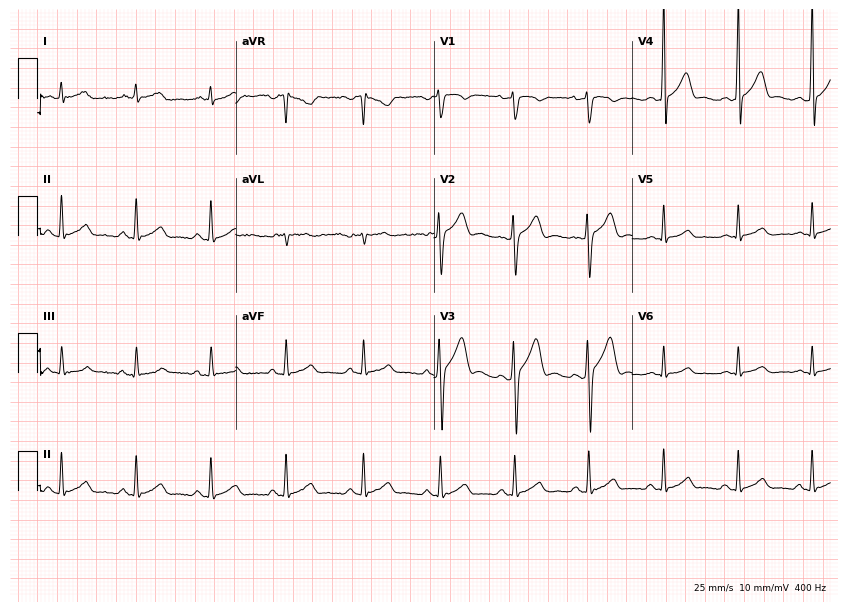
Electrocardiogram, a male patient, 21 years old. Of the six screened findings (first-degree AV block, right bundle branch block, left bundle branch block, sinus bradycardia, atrial fibrillation, sinus tachycardia), none is recorded.